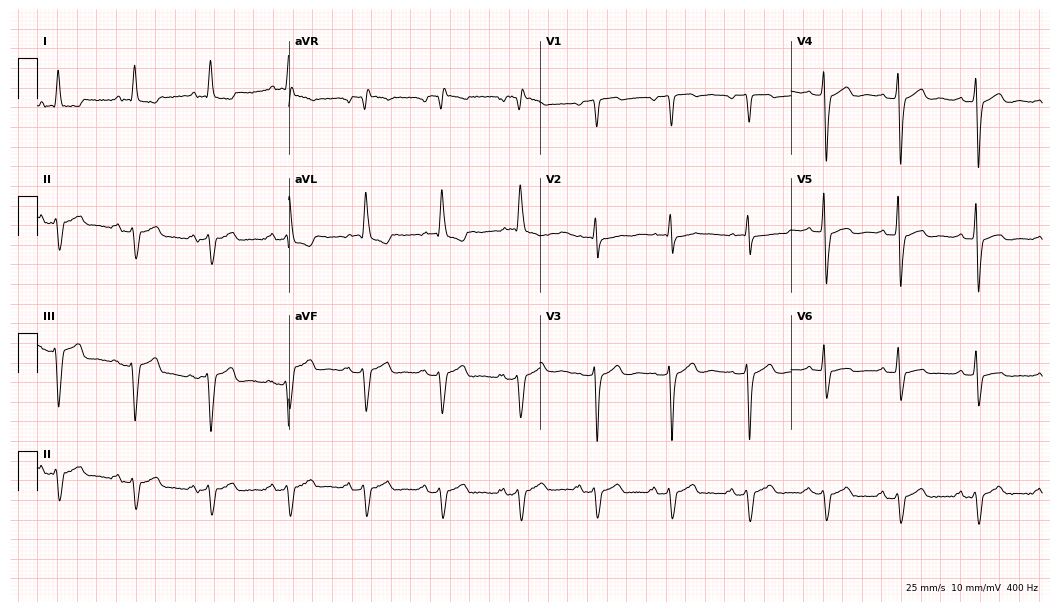
Electrocardiogram, a female patient, 73 years old. Of the six screened findings (first-degree AV block, right bundle branch block (RBBB), left bundle branch block (LBBB), sinus bradycardia, atrial fibrillation (AF), sinus tachycardia), none is recorded.